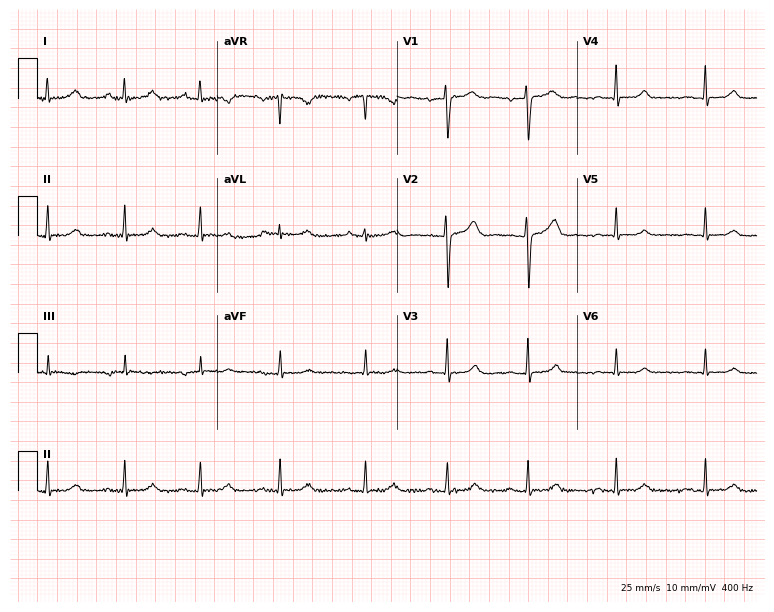
12-lead ECG (7.3-second recording at 400 Hz) from a female patient, 42 years old. Labelled as a normal ECG.